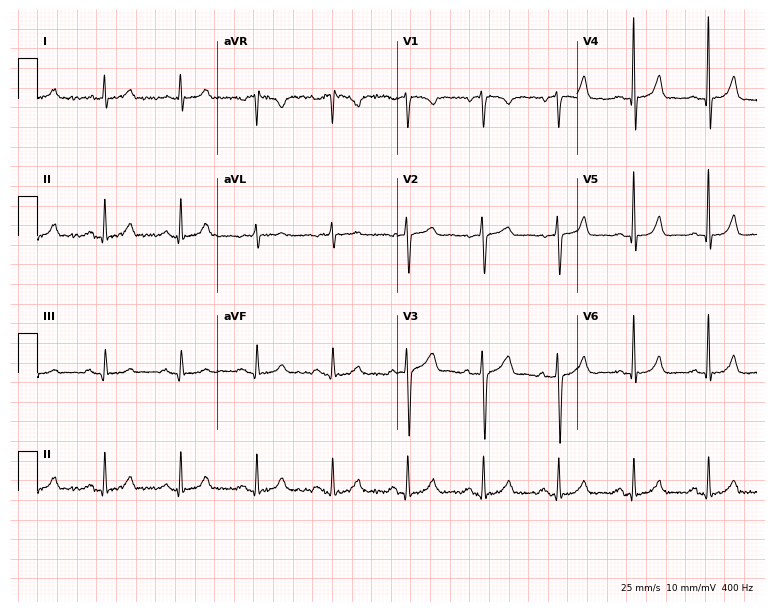
12-lead ECG from a man, 78 years old (7.3-second recording at 400 Hz). Recorded interpretation: within normal limits.